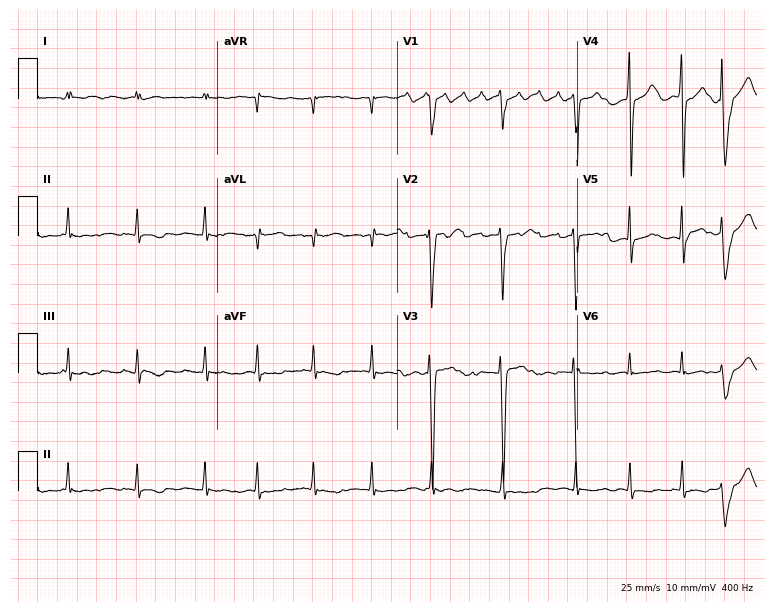
Standard 12-lead ECG recorded from a 47-year-old woman. None of these six findings is recorded: first-degree AV block, right bundle branch block (RBBB), left bundle branch block (LBBB), sinus bradycardia, atrial fibrillation (AF), sinus tachycardia. Other findings, if any, are not listed.